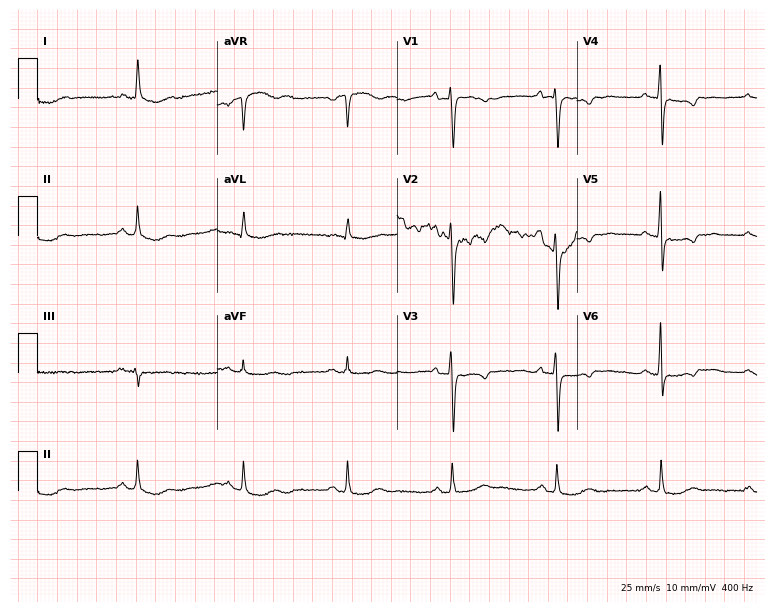
12-lead ECG from a 71-year-old female. Screened for six findings — first-degree AV block, right bundle branch block, left bundle branch block, sinus bradycardia, atrial fibrillation, sinus tachycardia — none is recorded. Findings outside these six are not listed.